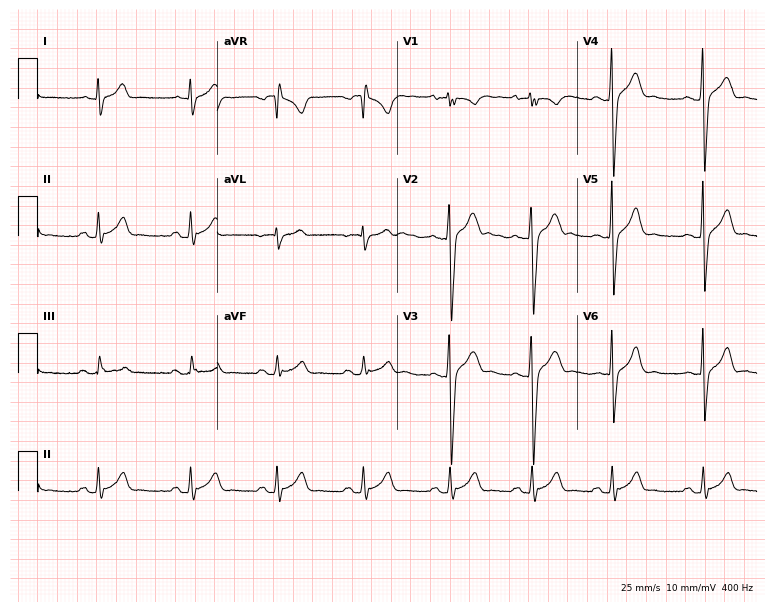
Standard 12-lead ECG recorded from a 26-year-old man (7.3-second recording at 400 Hz). None of these six findings is recorded: first-degree AV block, right bundle branch block, left bundle branch block, sinus bradycardia, atrial fibrillation, sinus tachycardia.